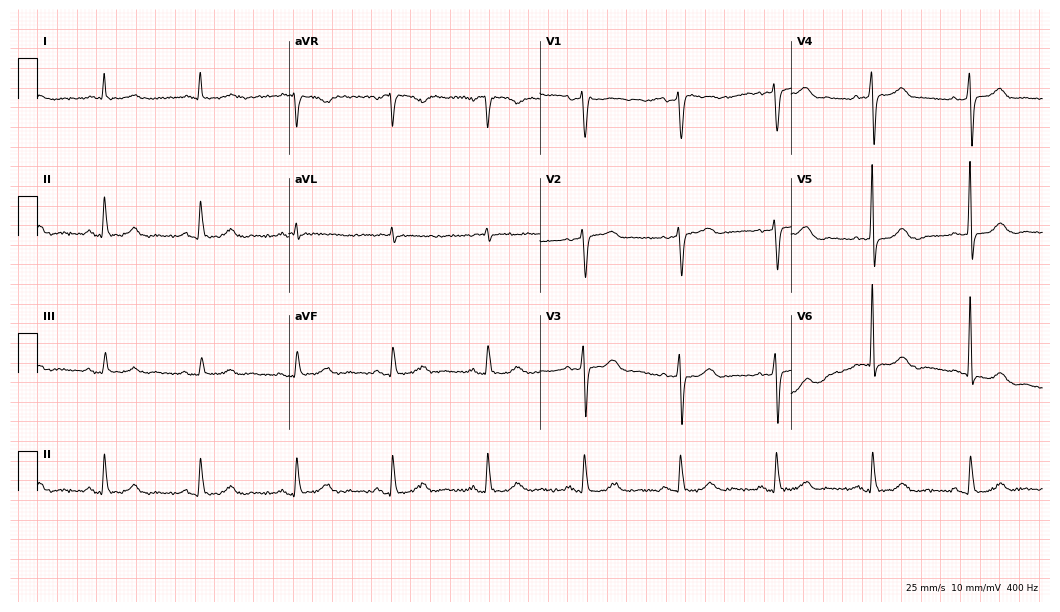
ECG (10.2-second recording at 400 Hz) — a male, 77 years old. Labelled as a normal ECG.